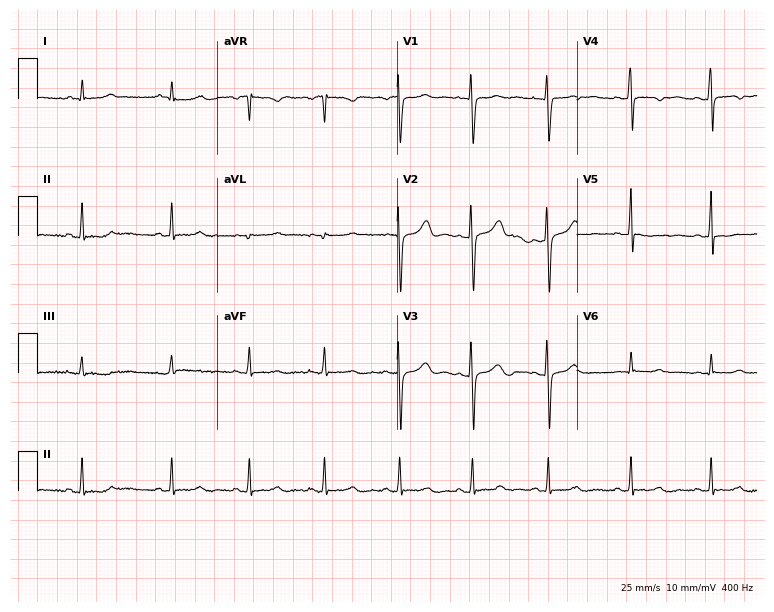
ECG (7.3-second recording at 400 Hz) — a female patient, 18 years old. Labelled as a normal ECG.